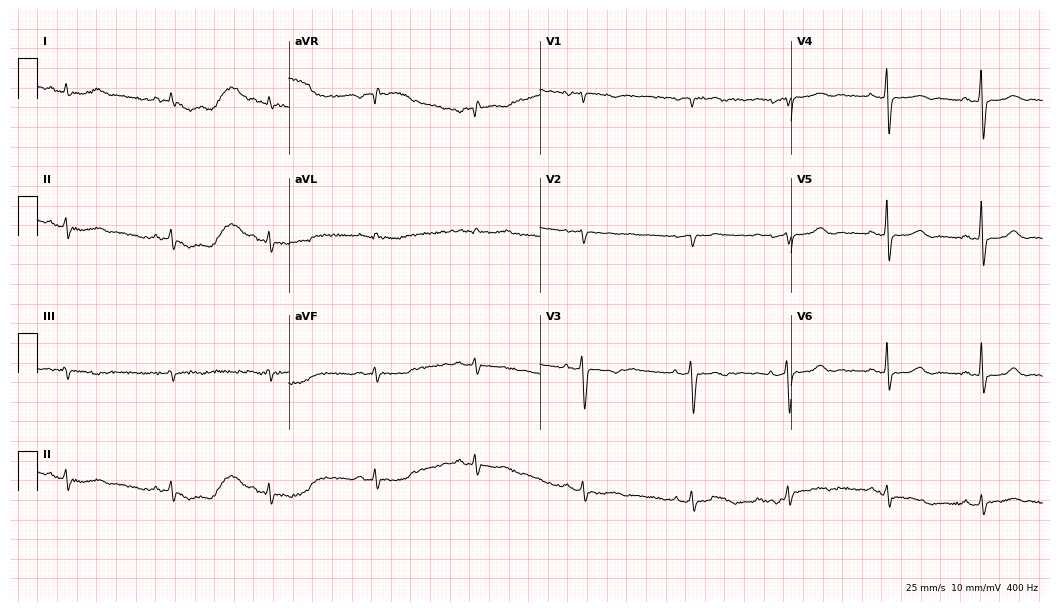
Resting 12-lead electrocardiogram. Patient: a woman, 46 years old. None of these six findings is recorded: first-degree AV block, right bundle branch block, left bundle branch block, sinus bradycardia, atrial fibrillation, sinus tachycardia.